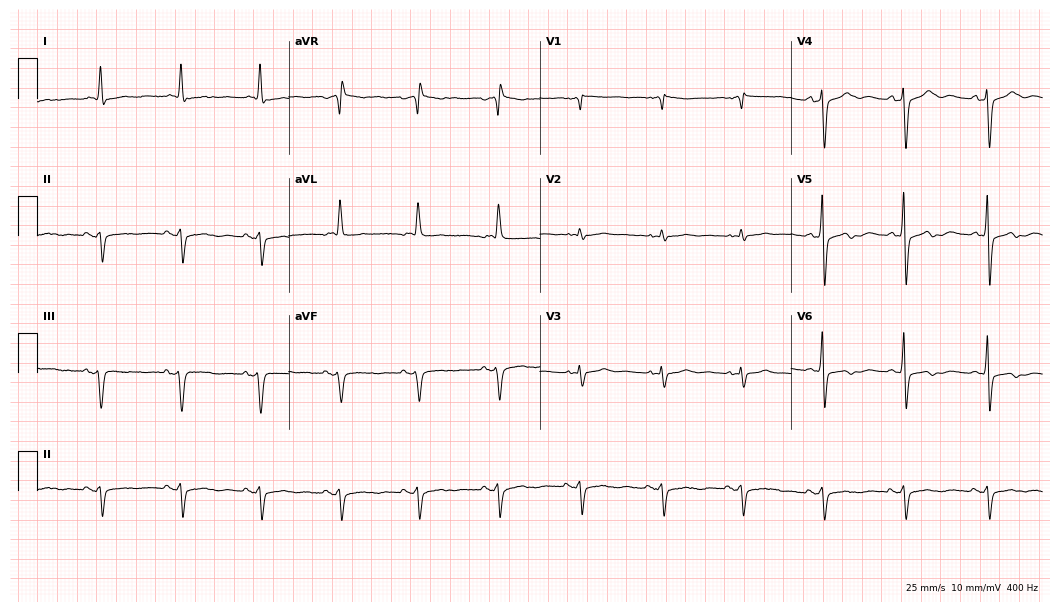
ECG — a female, 66 years old. Screened for six findings — first-degree AV block, right bundle branch block, left bundle branch block, sinus bradycardia, atrial fibrillation, sinus tachycardia — none is recorded. Only these six findings were labelled.